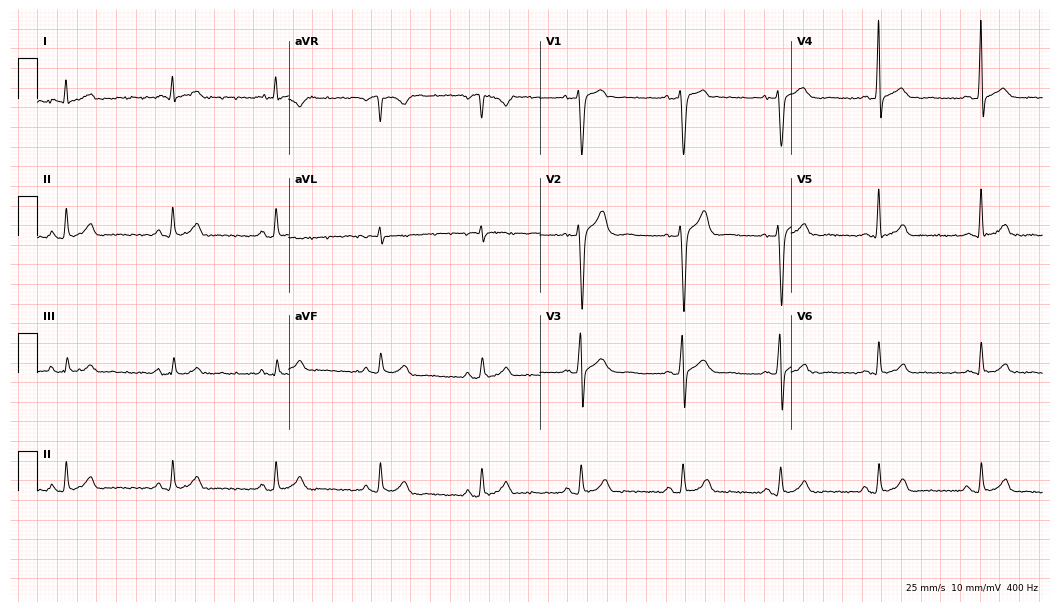
Standard 12-lead ECG recorded from a 38-year-old male patient. None of these six findings is recorded: first-degree AV block, right bundle branch block, left bundle branch block, sinus bradycardia, atrial fibrillation, sinus tachycardia. Other findings, if any, are not listed.